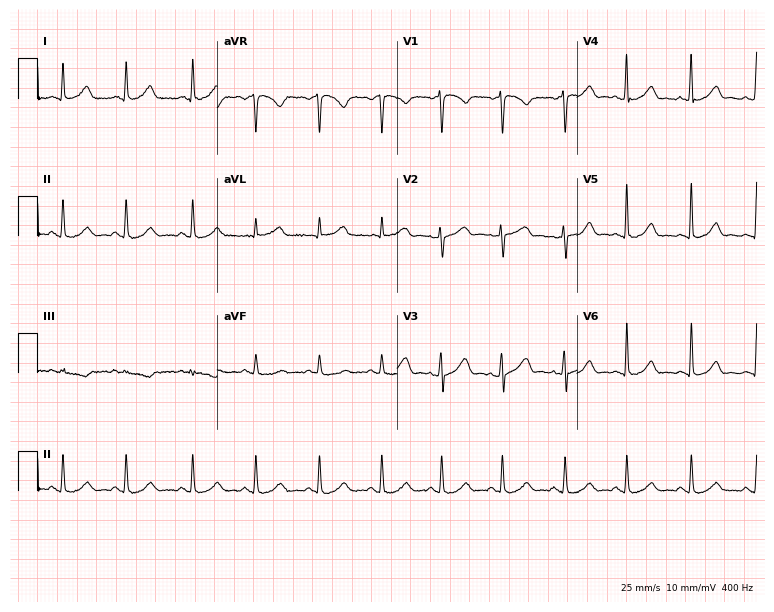
ECG (7.3-second recording at 400 Hz) — a female, 44 years old. Labelled as a normal ECG.